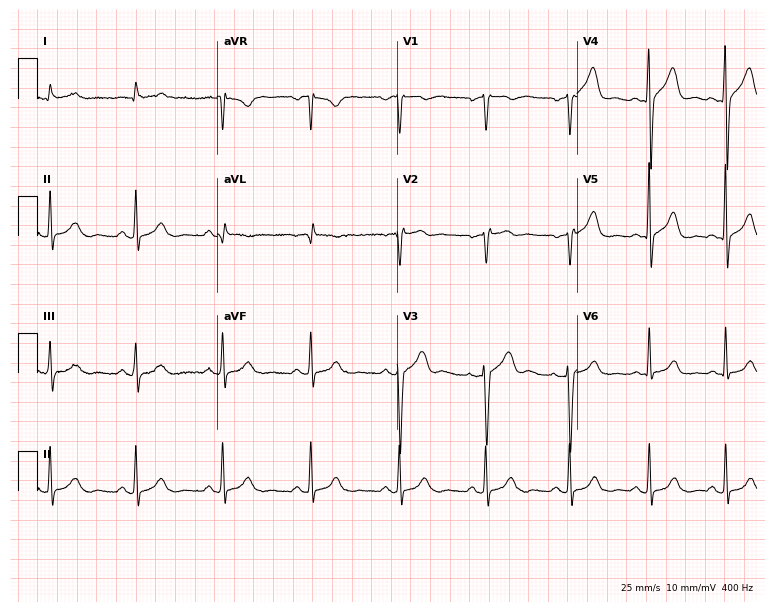
ECG (7.3-second recording at 400 Hz) — a woman, 59 years old. Labelled as a normal ECG.